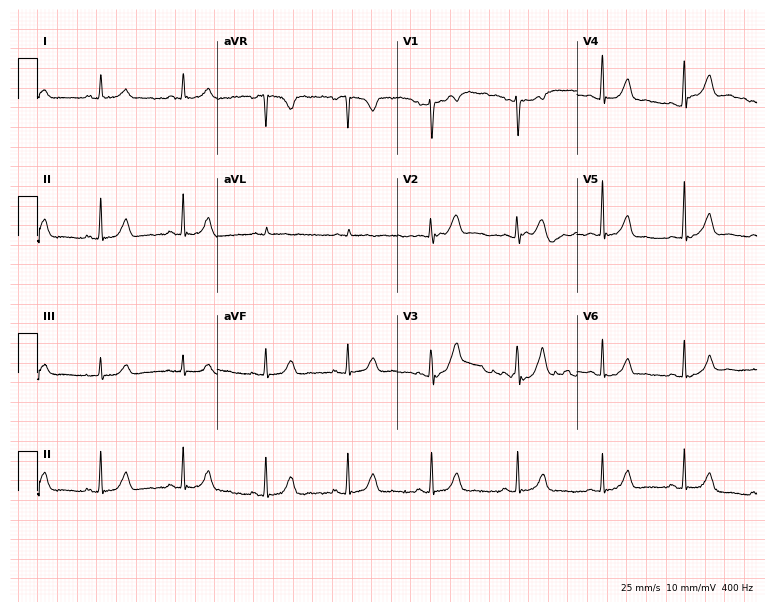
ECG — a 39-year-old woman. Screened for six findings — first-degree AV block, right bundle branch block (RBBB), left bundle branch block (LBBB), sinus bradycardia, atrial fibrillation (AF), sinus tachycardia — none is recorded.